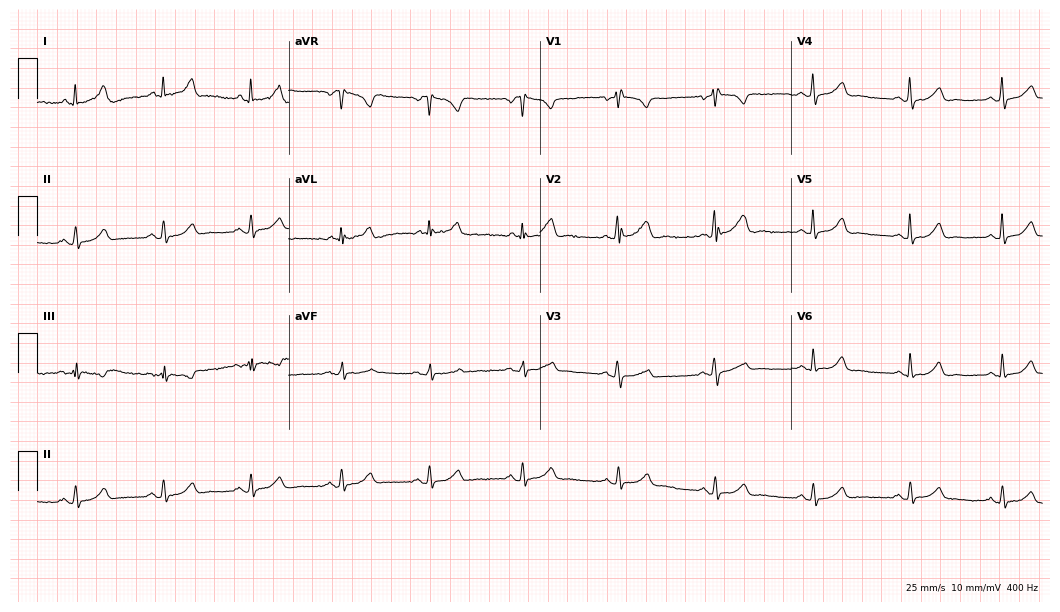
12-lead ECG from a female, 71 years old. Labelled as a normal ECG.